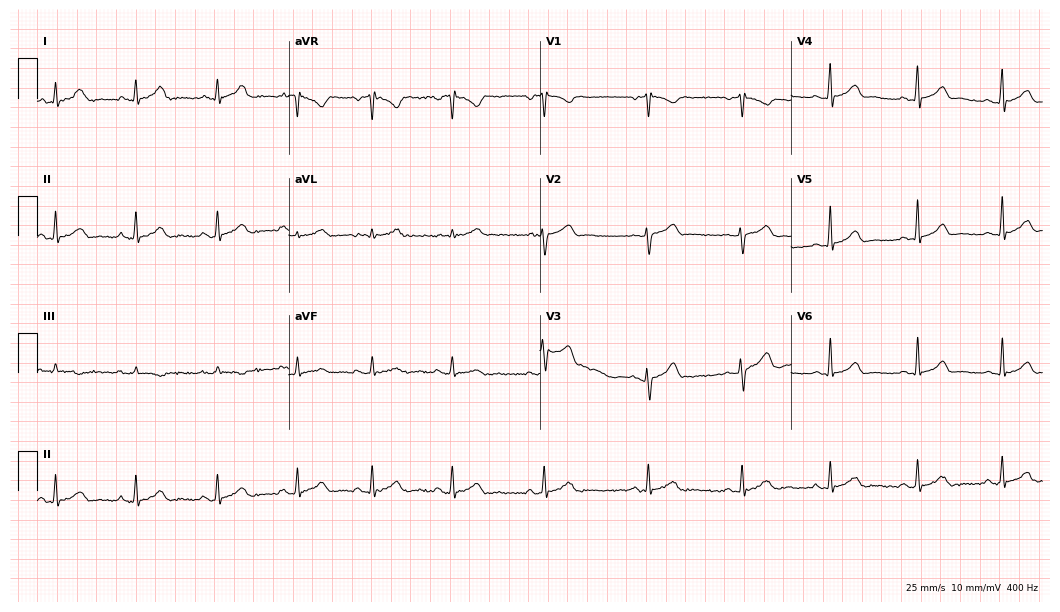
Resting 12-lead electrocardiogram. Patient: a female, 32 years old. None of these six findings is recorded: first-degree AV block, right bundle branch block (RBBB), left bundle branch block (LBBB), sinus bradycardia, atrial fibrillation (AF), sinus tachycardia.